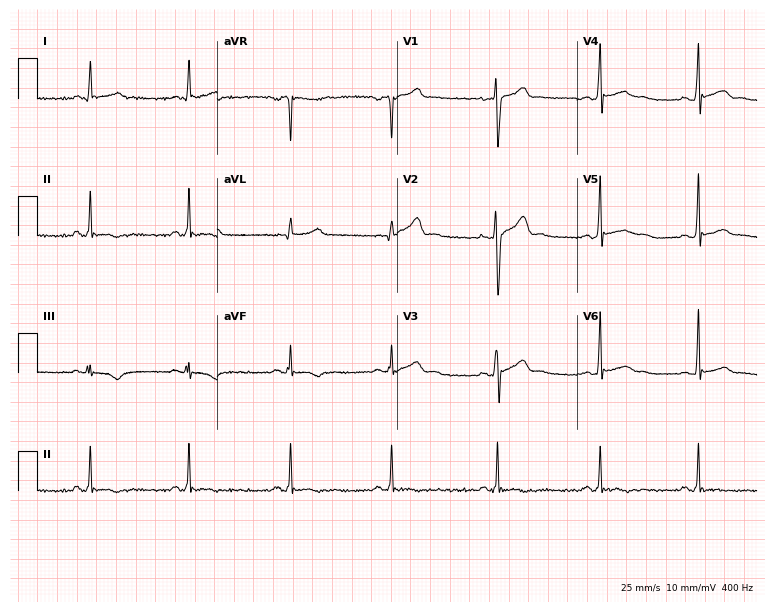
12-lead ECG from a 33-year-old male patient. Screened for six findings — first-degree AV block, right bundle branch block (RBBB), left bundle branch block (LBBB), sinus bradycardia, atrial fibrillation (AF), sinus tachycardia — none is recorded.